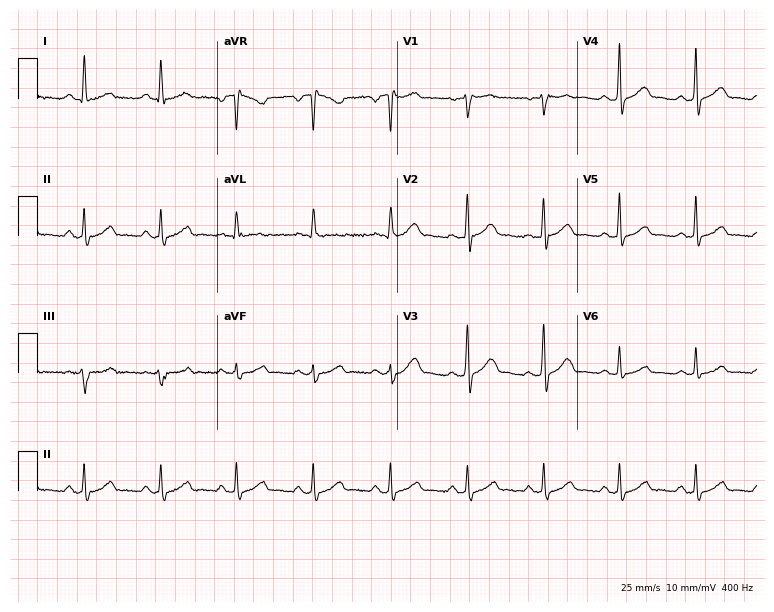
12-lead ECG from a 59-year-old male patient. Labelled as a normal ECG.